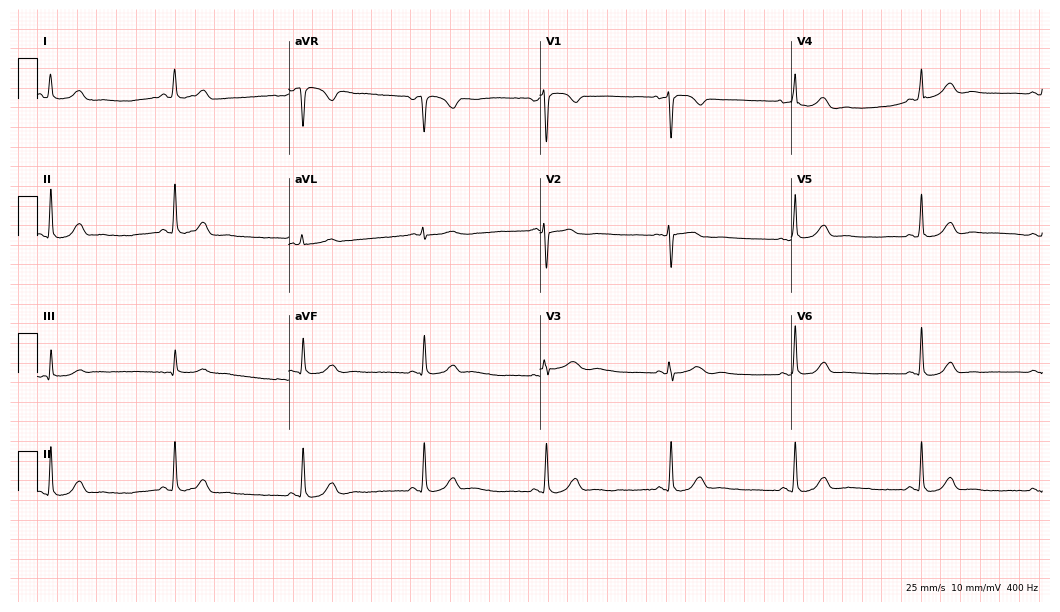
12-lead ECG (10.2-second recording at 400 Hz) from a female, 52 years old. Findings include sinus bradycardia (a sinus rate of 50 beats per minute or less).